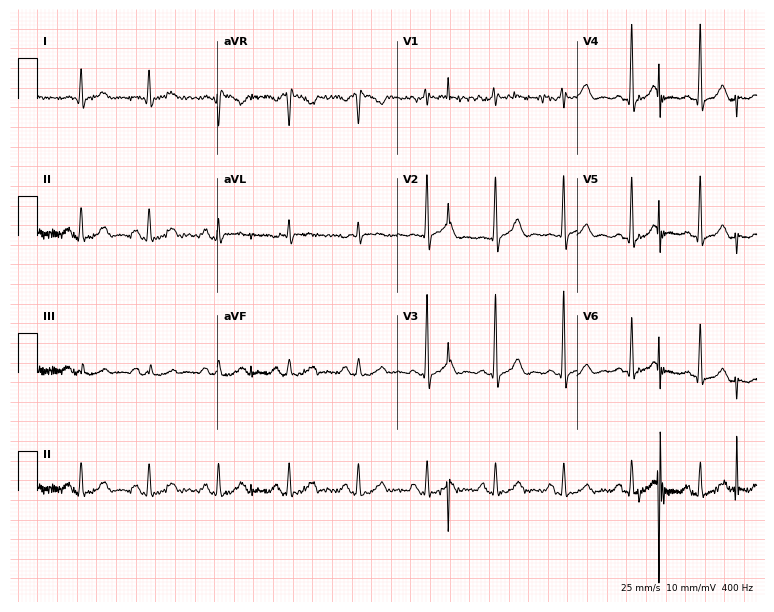
Standard 12-lead ECG recorded from a man, 64 years old (7.3-second recording at 400 Hz). Read as a normal ECG.